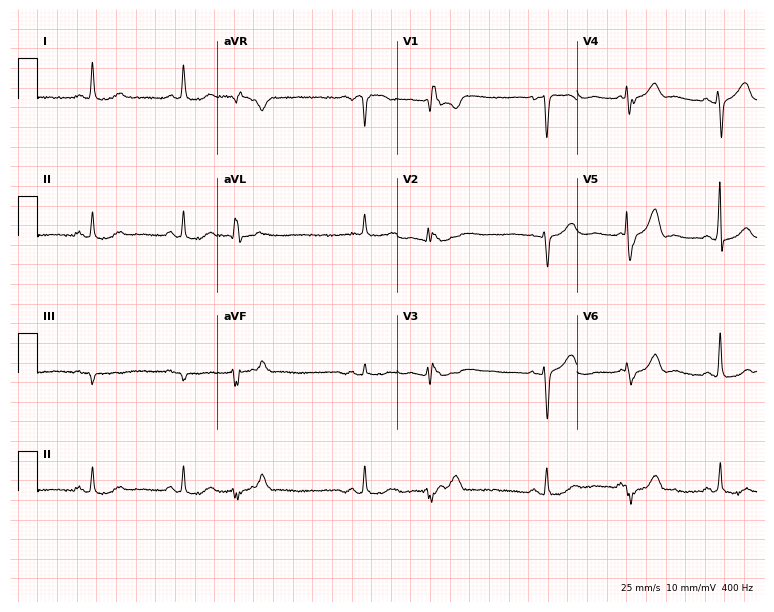
Electrocardiogram (7.3-second recording at 400 Hz), a female patient, 74 years old. Of the six screened findings (first-degree AV block, right bundle branch block, left bundle branch block, sinus bradycardia, atrial fibrillation, sinus tachycardia), none is recorded. Only these six findings were labelled.